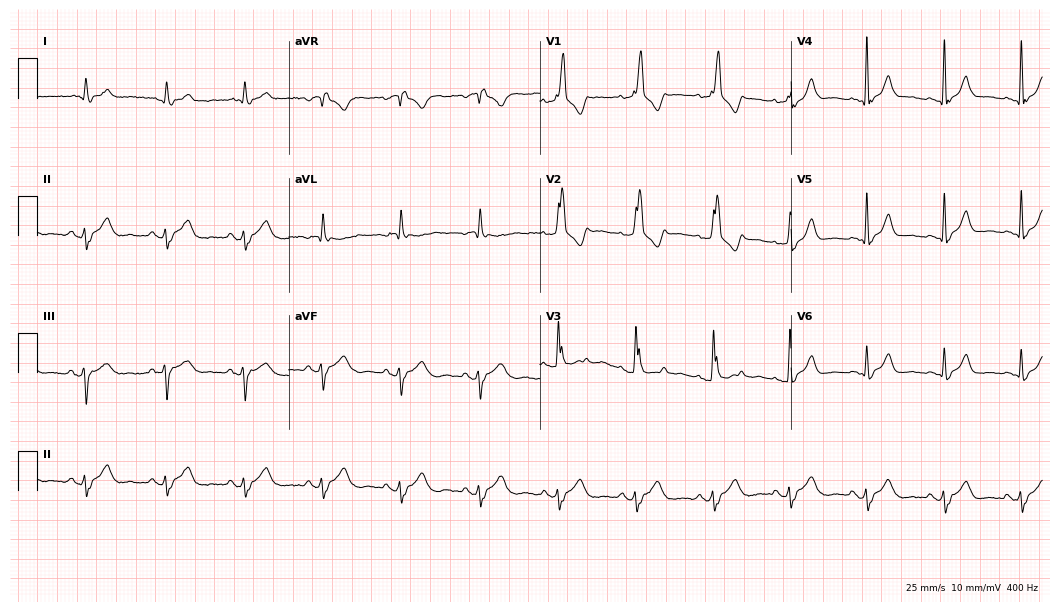
Resting 12-lead electrocardiogram. Patient: an 86-year-old female. The tracing shows right bundle branch block.